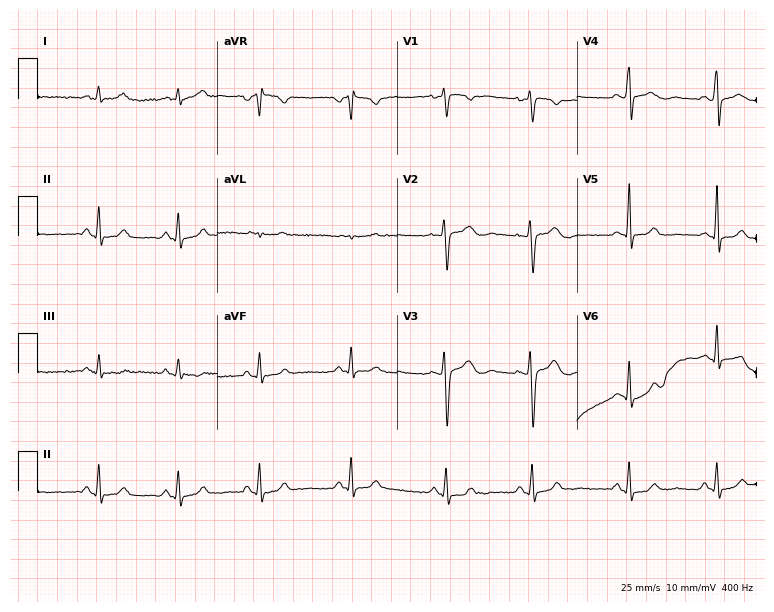
ECG (7.3-second recording at 400 Hz) — a 43-year-old woman. Screened for six findings — first-degree AV block, right bundle branch block, left bundle branch block, sinus bradycardia, atrial fibrillation, sinus tachycardia — none is recorded.